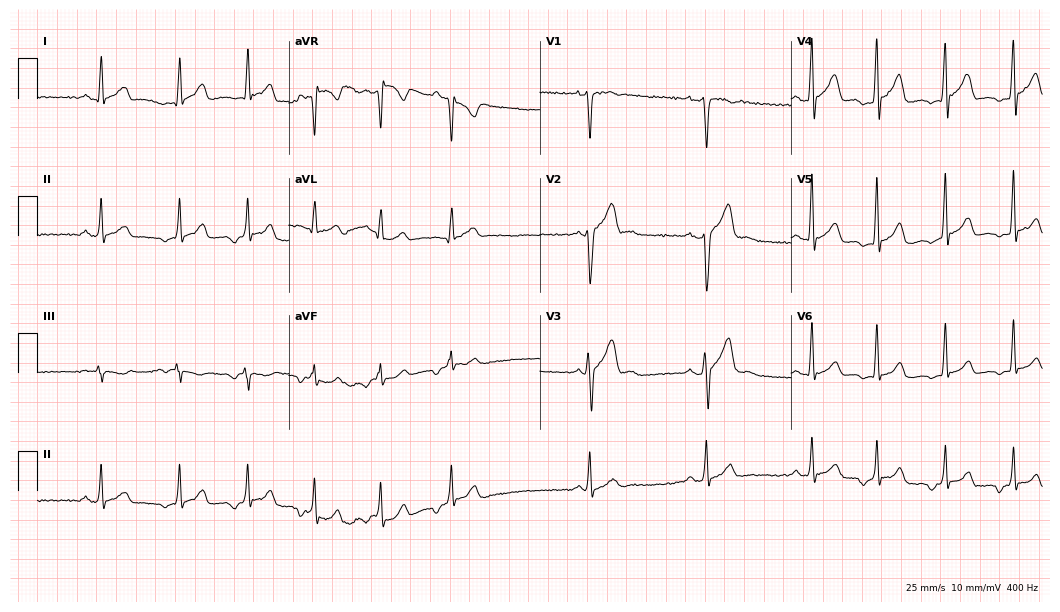
12-lead ECG from a 21-year-old man. Screened for six findings — first-degree AV block, right bundle branch block, left bundle branch block, sinus bradycardia, atrial fibrillation, sinus tachycardia — none is recorded. Findings outside these six are not listed.